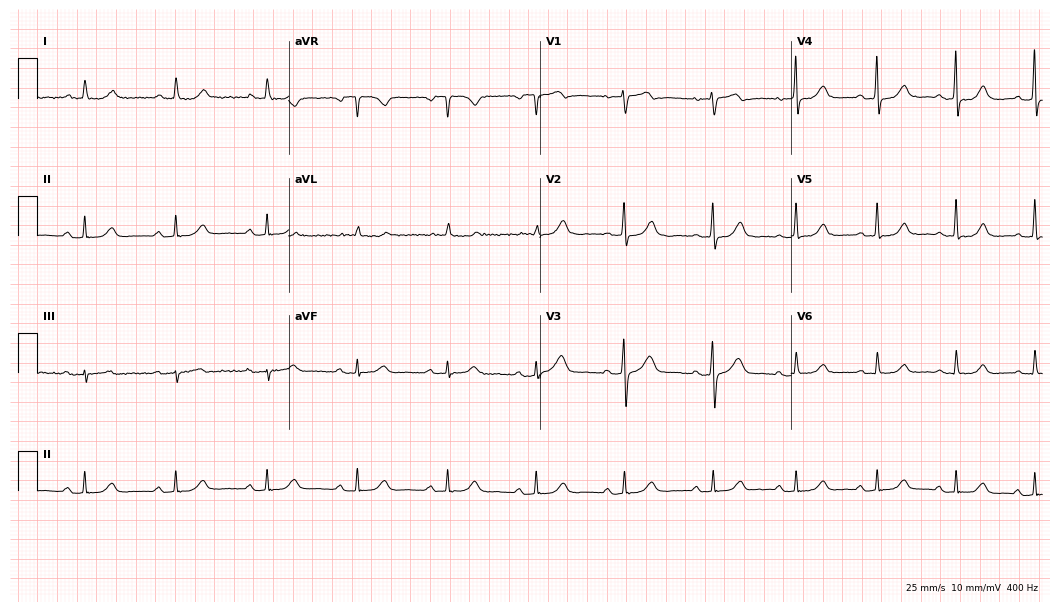
Standard 12-lead ECG recorded from a 67-year-old woman (10.2-second recording at 400 Hz). None of these six findings is recorded: first-degree AV block, right bundle branch block (RBBB), left bundle branch block (LBBB), sinus bradycardia, atrial fibrillation (AF), sinus tachycardia.